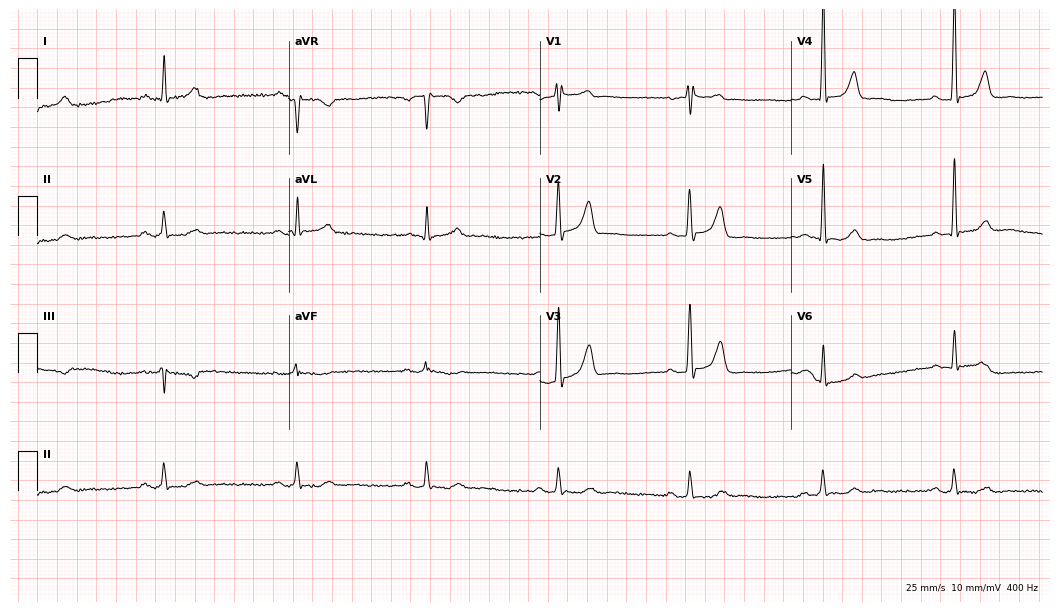
ECG (10.2-second recording at 400 Hz) — a female, 76 years old. Findings include sinus bradycardia (a sinus rate of 50 beats per minute or less).